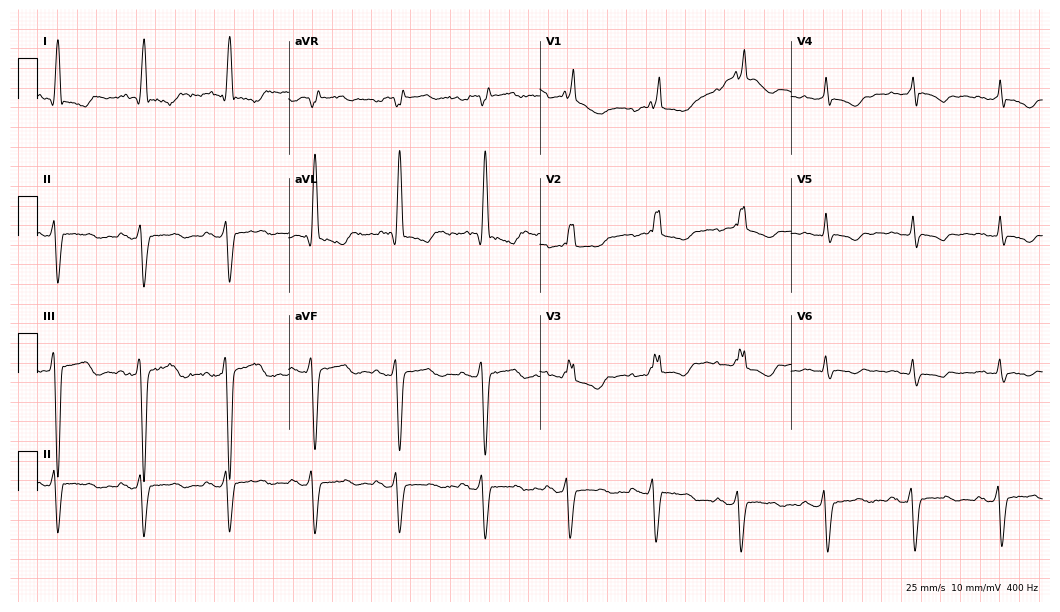
Electrocardiogram, a woman, 73 years old. Interpretation includes right bundle branch block.